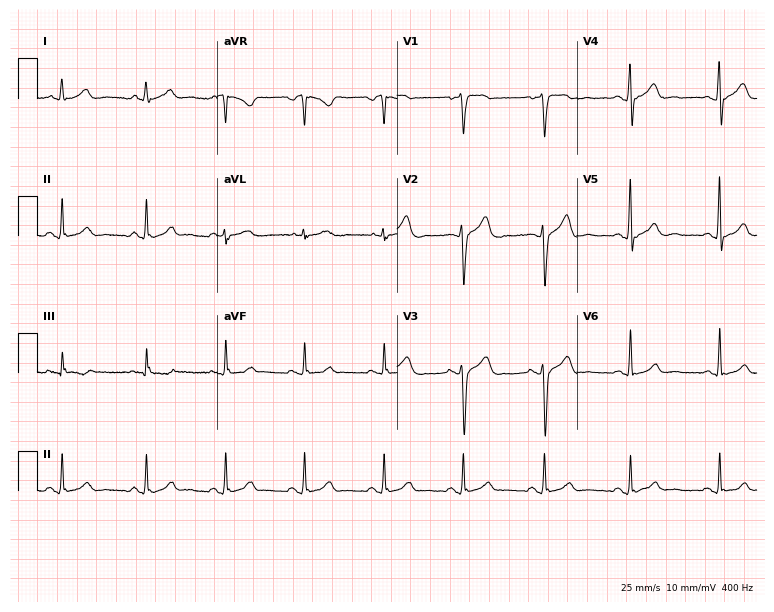
12-lead ECG from a man, 38 years old (7.3-second recording at 400 Hz). Recorded interpretation: within normal limits.